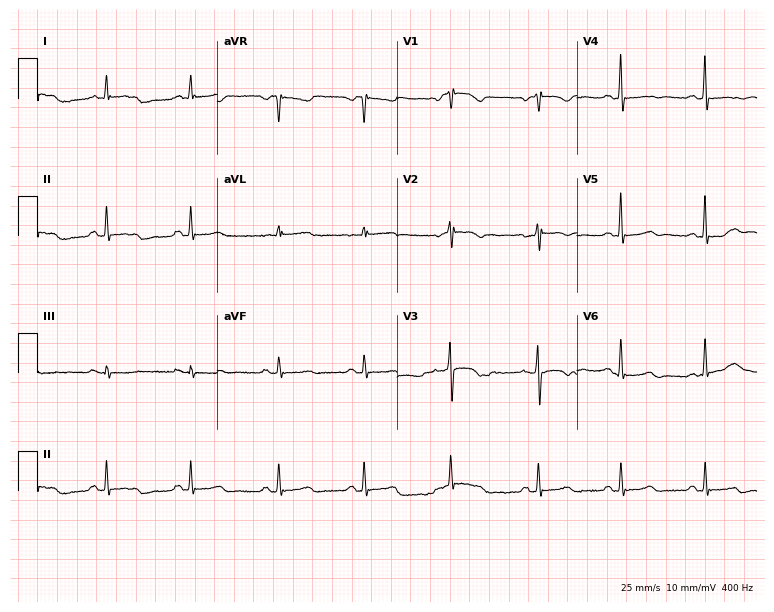
Standard 12-lead ECG recorded from a 68-year-old woman (7.3-second recording at 400 Hz). None of these six findings is recorded: first-degree AV block, right bundle branch block (RBBB), left bundle branch block (LBBB), sinus bradycardia, atrial fibrillation (AF), sinus tachycardia. Other findings, if any, are not listed.